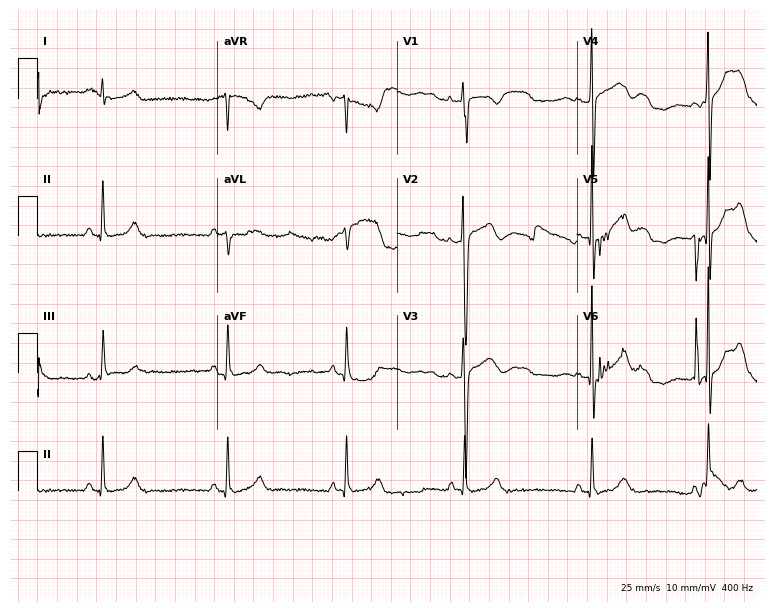
Standard 12-lead ECG recorded from a male, 41 years old. None of these six findings is recorded: first-degree AV block, right bundle branch block (RBBB), left bundle branch block (LBBB), sinus bradycardia, atrial fibrillation (AF), sinus tachycardia. Findings outside these six are not listed.